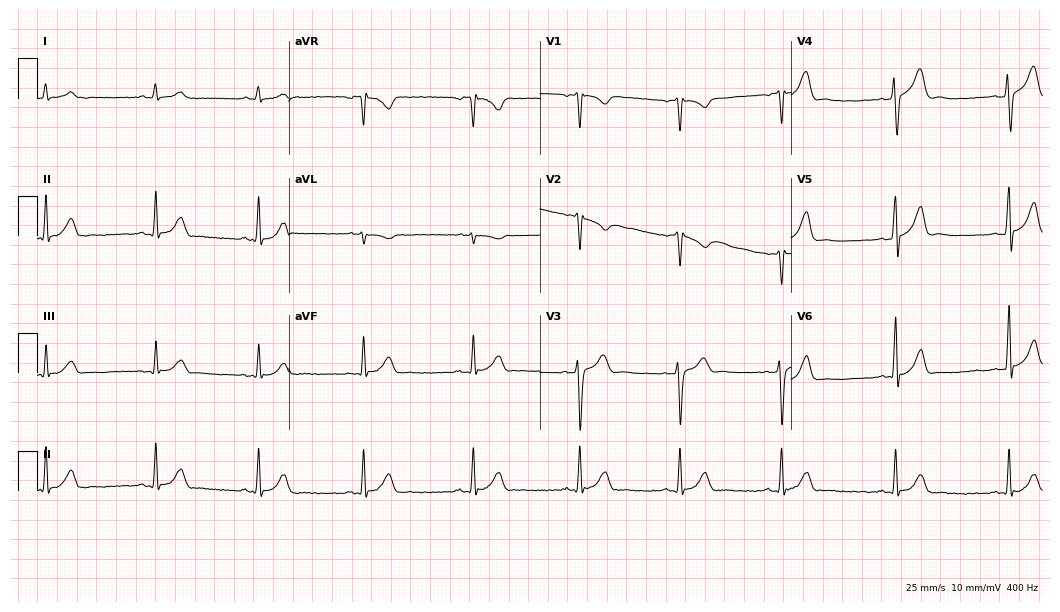
Standard 12-lead ECG recorded from a 31-year-old male (10.2-second recording at 400 Hz). None of these six findings is recorded: first-degree AV block, right bundle branch block (RBBB), left bundle branch block (LBBB), sinus bradycardia, atrial fibrillation (AF), sinus tachycardia. Findings outside these six are not listed.